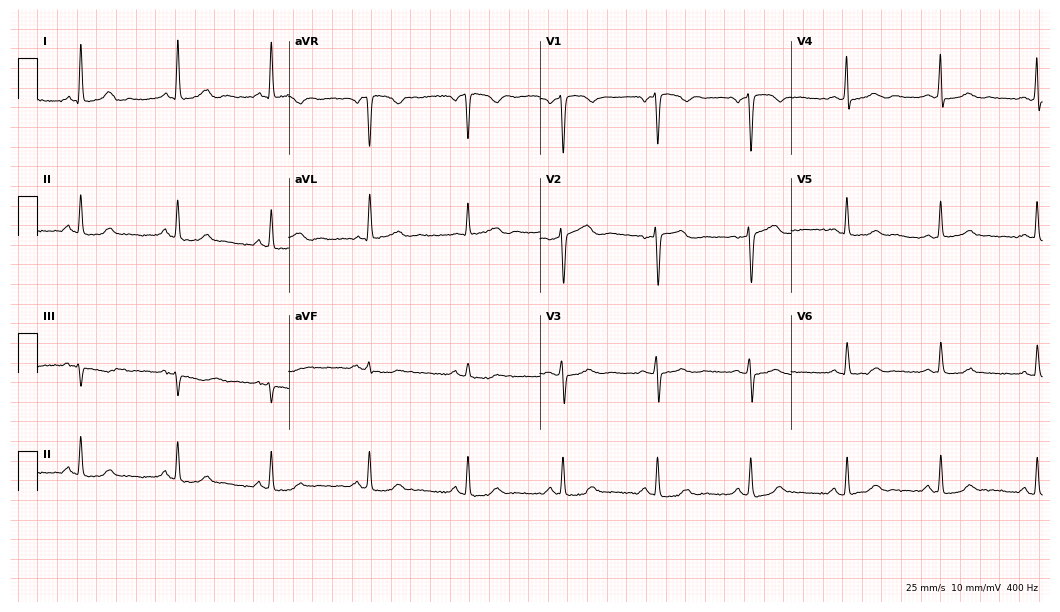
12-lead ECG from a 53-year-old female (10.2-second recording at 400 Hz). Recorded interpretation: within normal limits.